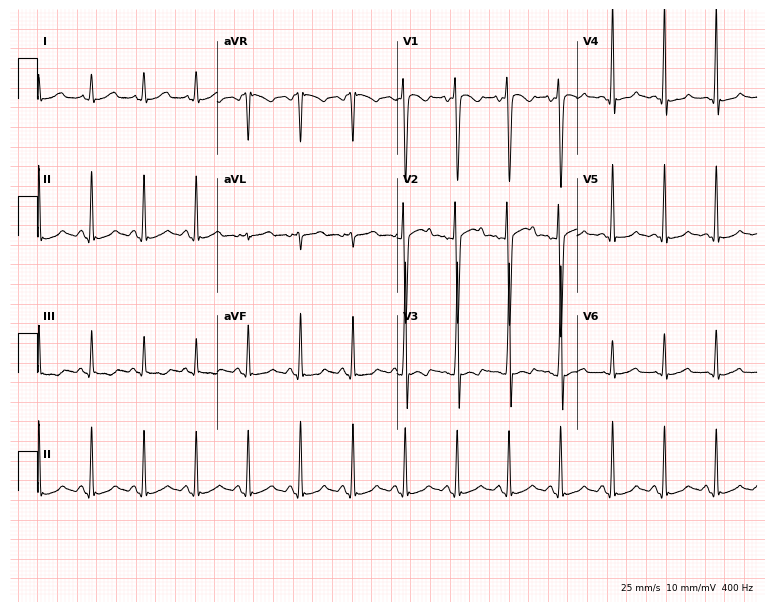
12-lead ECG (7.3-second recording at 400 Hz) from a man, 17 years old. Findings include sinus tachycardia (a sinus rate of 100 beats per minute or more).